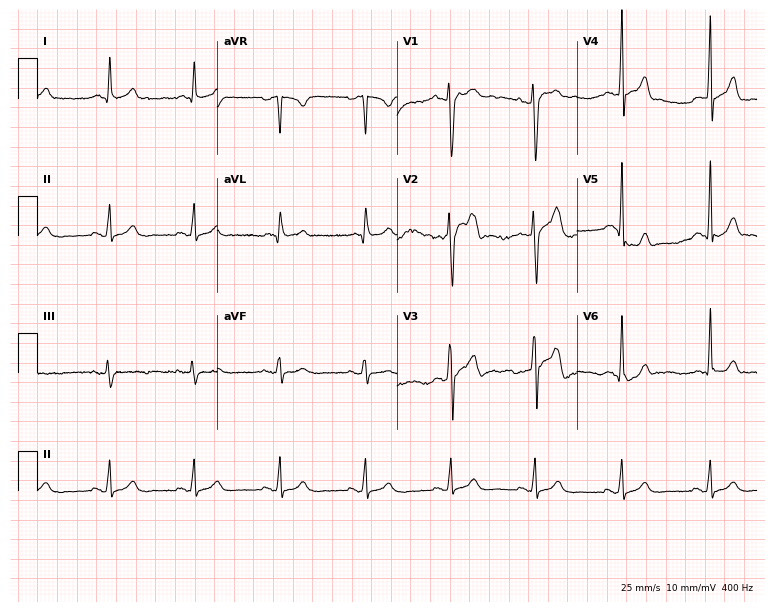
Standard 12-lead ECG recorded from a male patient, 50 years old. Read as a normal ECG.